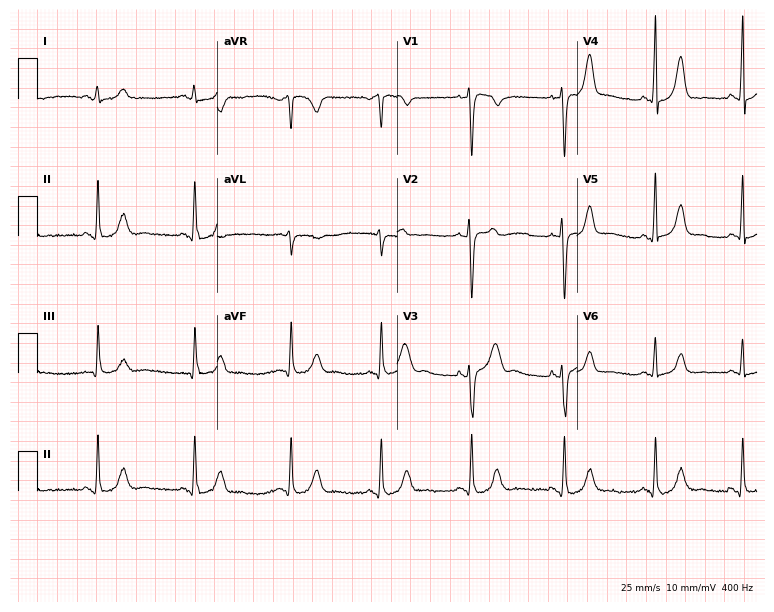
12-lead ECG (7.3-second recording at 400 Hz) from a 27-year-old woman. Labelled as a normal ECG.